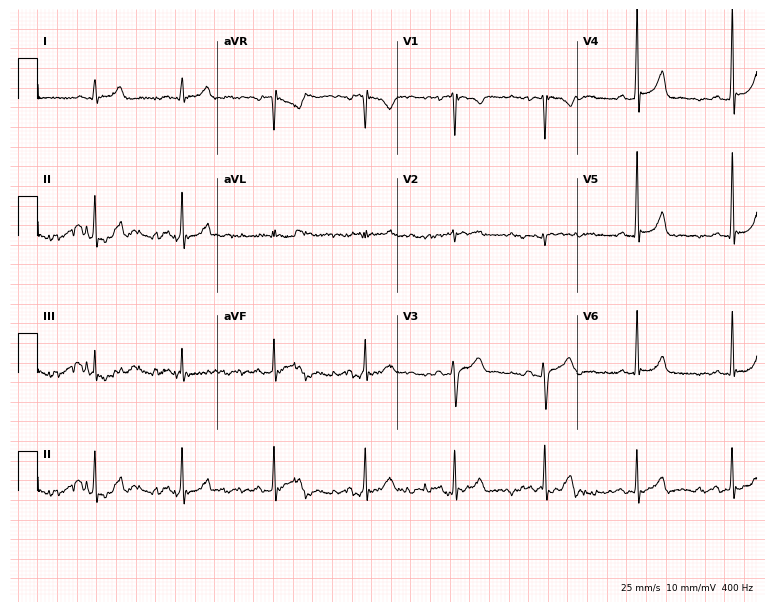
12-lead ECG from a male patient, 25 years old (7.3-second recording at 400 Hz). Recorded interpretation: within normal limits.